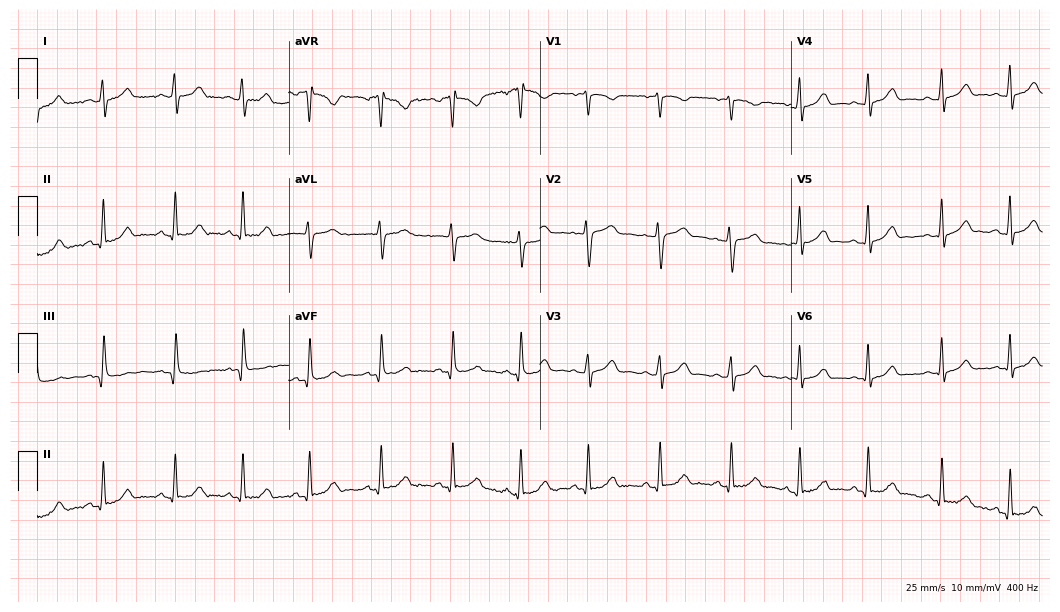
ECG — a female, 26 years old. Labelled as a normal ECG.